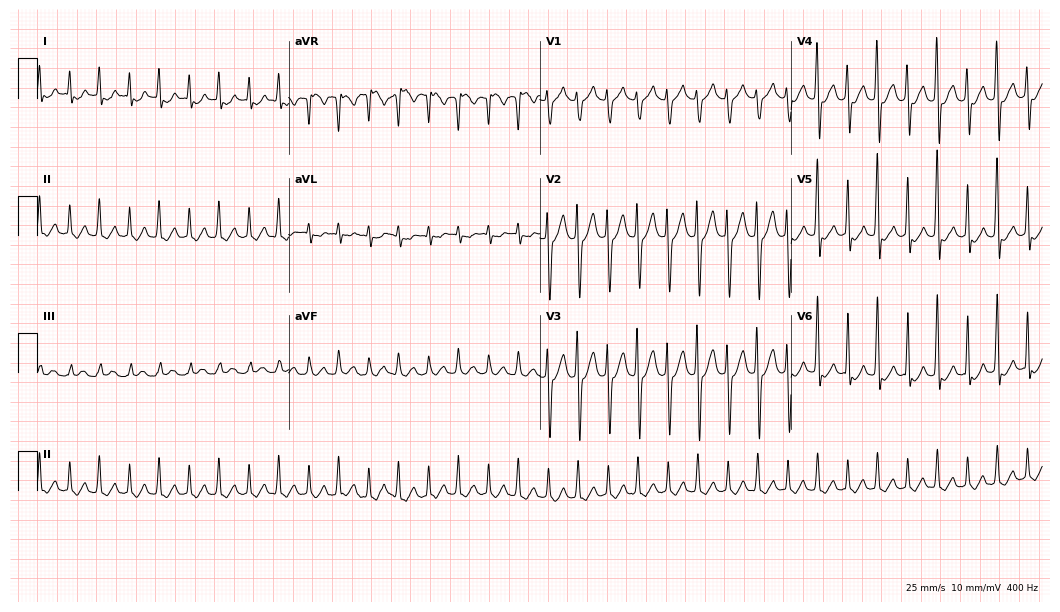
12-lead ECG from a man, 17 years old. Findings include sinus tachycardia (a sinus rate of 100 beats per minute or more).